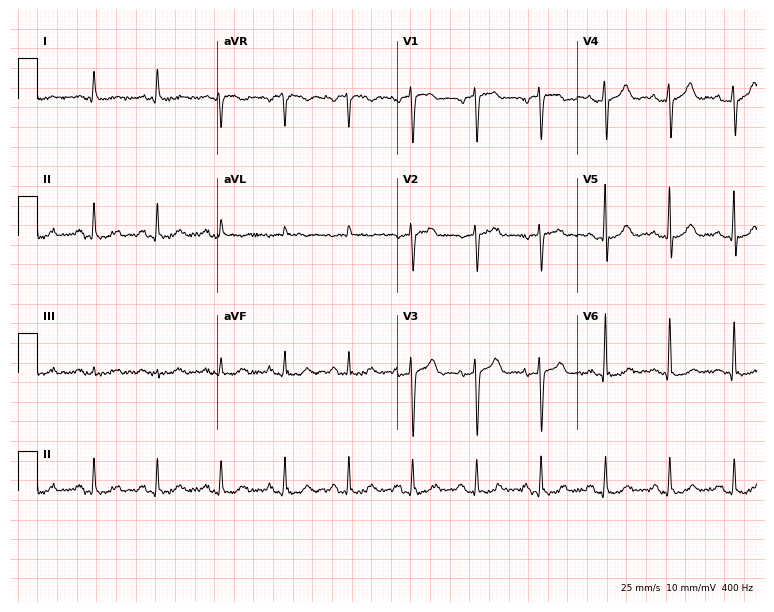
ECG — a 76-year-old man. Screened for six findings — first-degree AV block, right bundle branch block (RBBB), left bundle branch block (LBBB), sinus bradycardia, atrial fibrillation (AF), sinus tachycardia — none is recorded. Other findings, if any, are not listed.